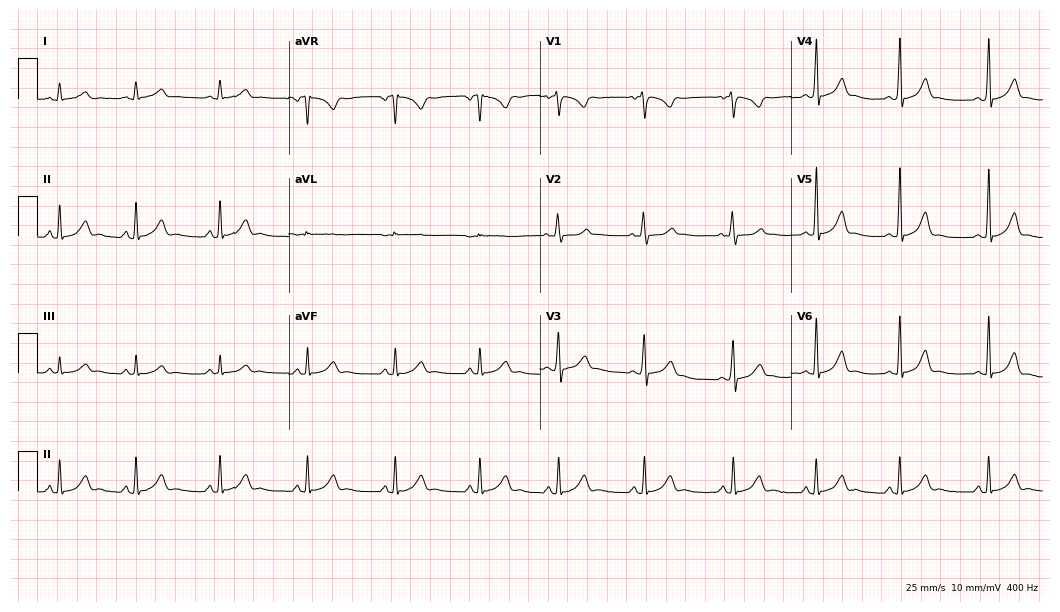
Resting 12-lead electrocardiogram (10.2-second recording at 400 Hz). Patient: a female, 17 years old. Read as a normal ECG.